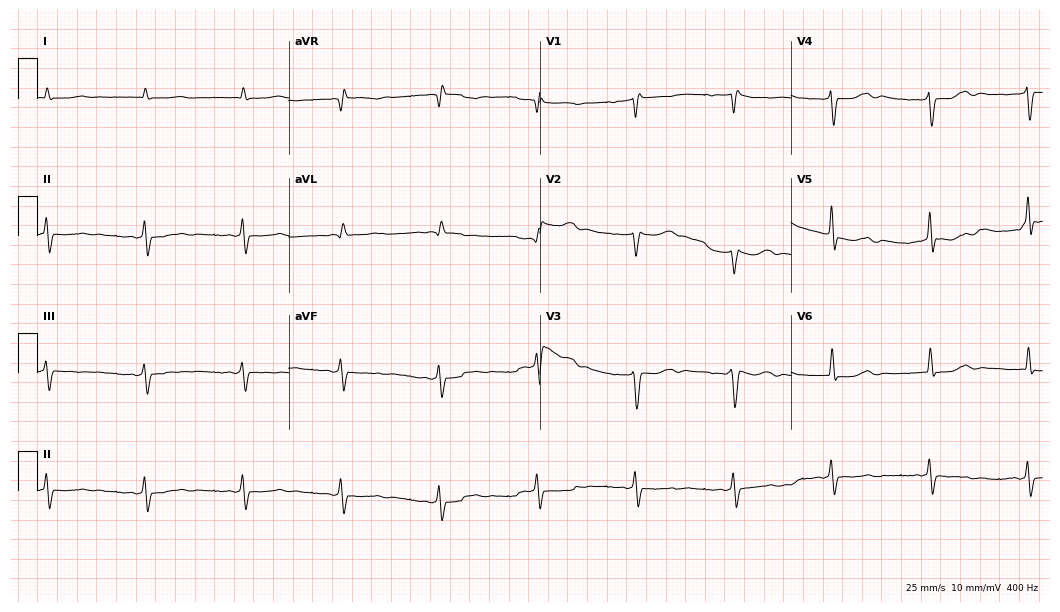
12-lead ECG from an 85-year-old man. Screened for six findings — first-degree AV block, right bundle branch block, left bundle branch block, sinus bradycardia, atrial fibrillation, sinus tachycardia — none is recorded. Findings outside these six are not listed.